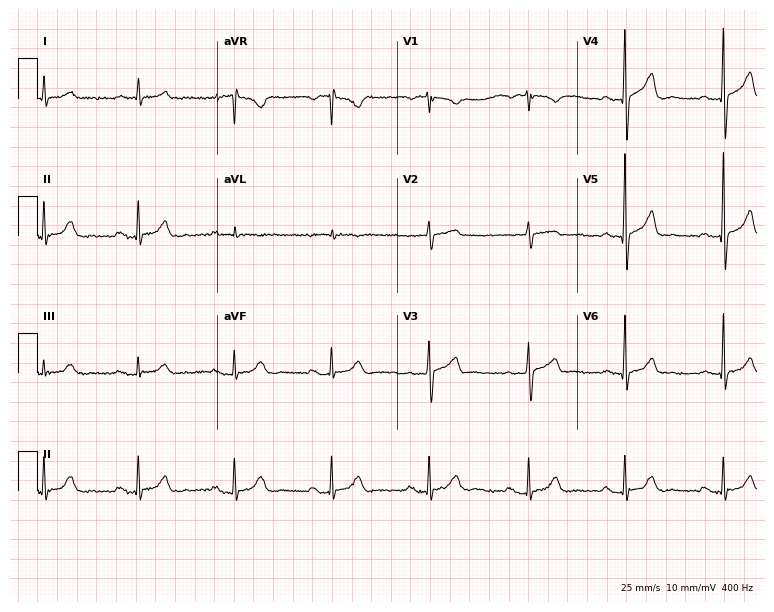
12-lead ECG (7.3-second recording at 400 Hz) from a 73-year-old male patient. Labelled as a normal ECG.